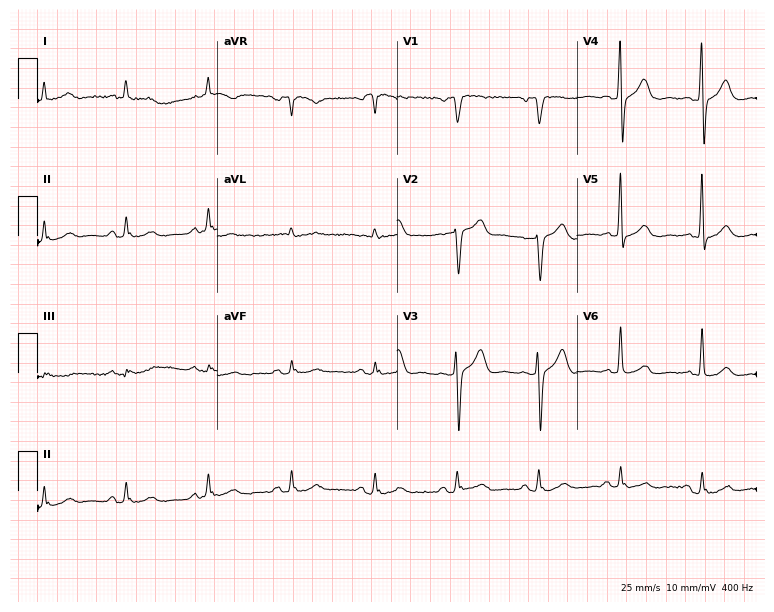
Electrocardiogram, a male patient, 85 years old. Of the six screened findings (first-degree AV block, right bundle branch block (RBBB), left bundle branch block (LBBB), sinus bradycardia, atrial fibrillation (AF), sinus tachycardia), none is recorded.